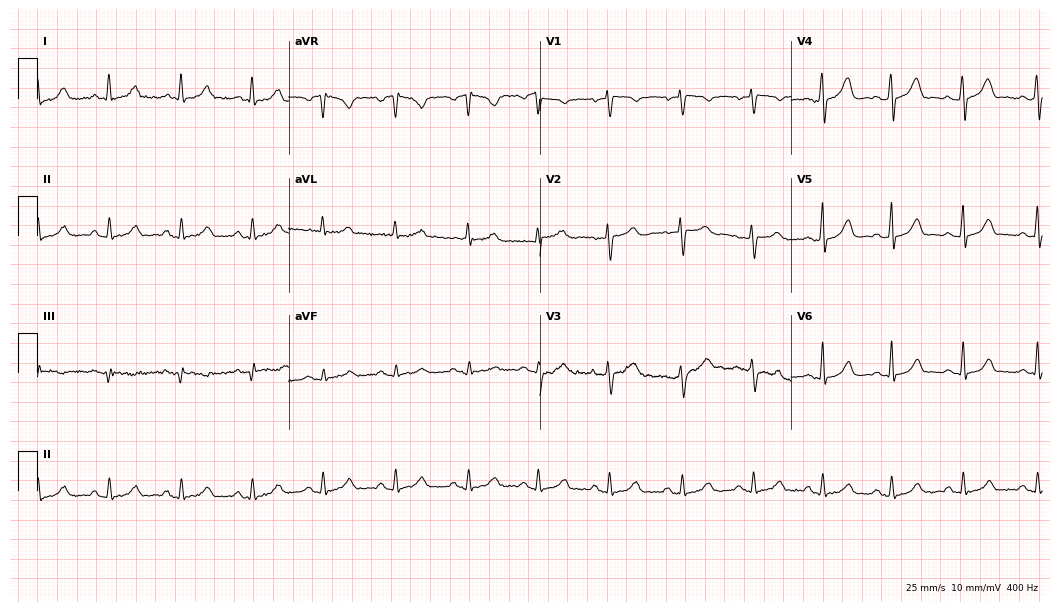
Electrocardiogram, a female, 40 years old. Of the six screened findings (first-degree AV block, right bundle branch block, left bundle branch block, sinus bradycardia, atrial fibrillation, sinus tachycardia), none is recorded. Findings outside these six are not listed.